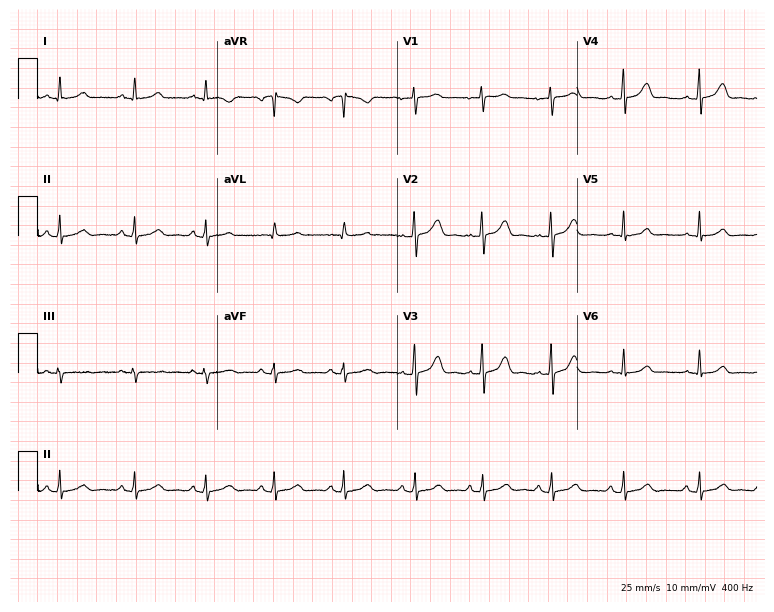
12-lead ECG (7.3-second recording at 400 Hz) from a 39-year-old female patient. Screened for six findings — first-degree AV block, right bundle branch block (RBBB), left bundle branch block (LBBB), sinus bradycardia, atrial fibrillation (AF), sinus tachycardia — none is recorded.